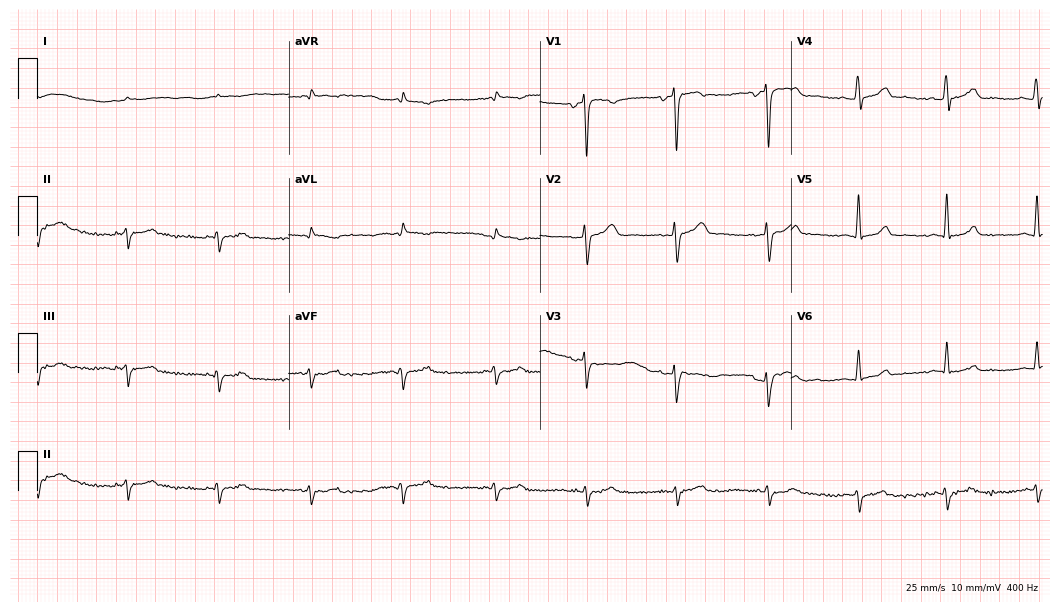
12-lead ECG from a female patient, 43 years old (10.2-second recording at 400 Hz). No first-degree AV block, right bundle branch block (RBBB), left bundle branch block (LBBB), sinus bradycardia, atrial fibrillation (AF) or sinus tachycardia recorded for this tracing.